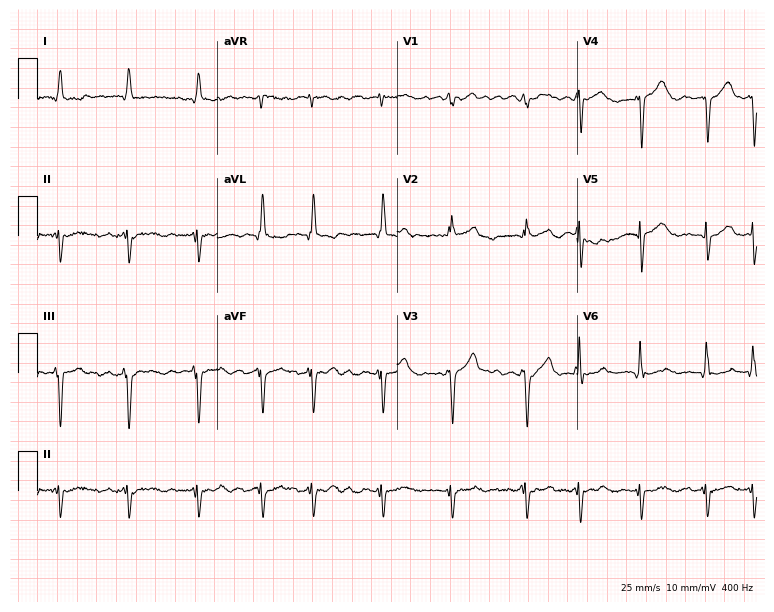
12-lead ECG from a man, 83 years old. Shows right bundle branch block (RBBB), atrial fibrillation (AF).